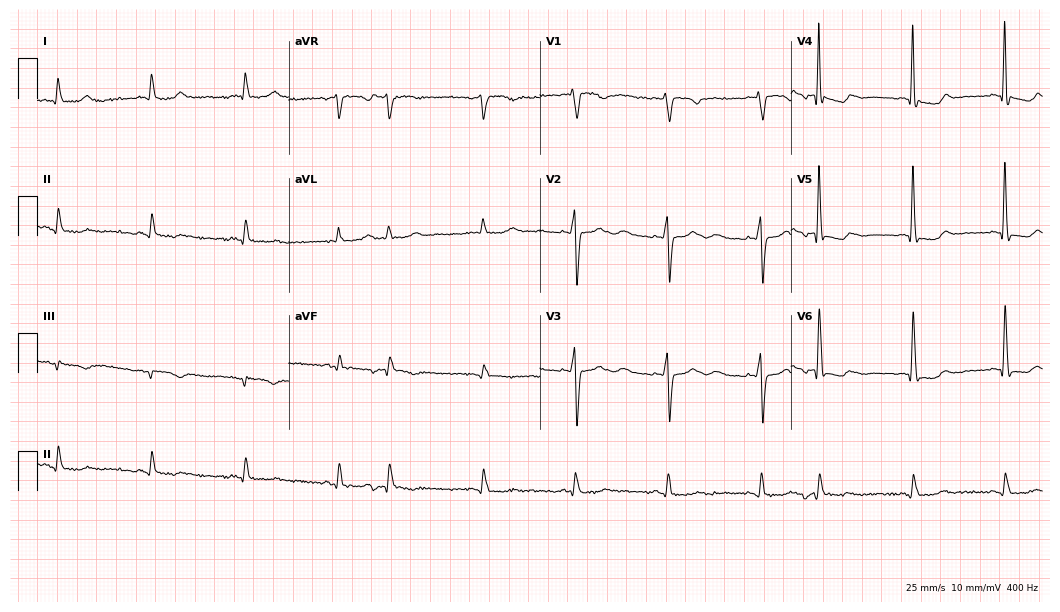
Standard 12-lead ECG recorded from an 82-year-old male (10.2-second recording at 400 Hz). None of these six findings is recorded: first-degree AV block, right bundle branch block (RBBB), left bundle branch block (LBBB), sinus bradycardia, atrial fibrillation (AF), sinus tachycardia.